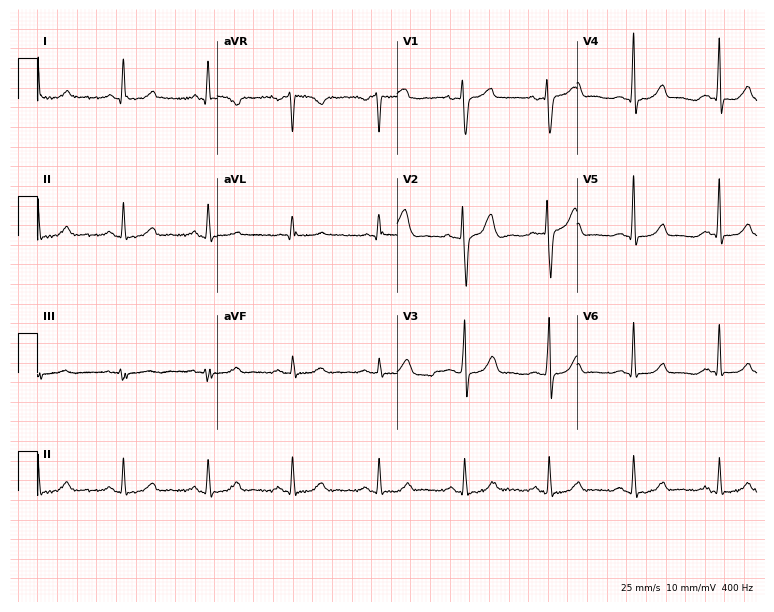
12-lead ECG (7.3-second recording at 400 Hz) from a 49-year-old female. Labelled as a normal ECG.